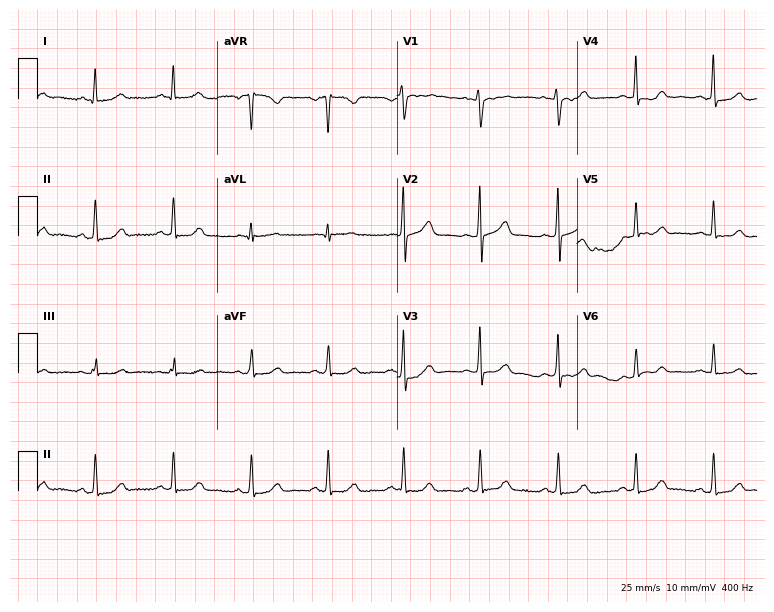
Electrocardiogram (7.3-second recording at 400 Hz), a man, 66 years old. Overall reading on record: normal ECG.